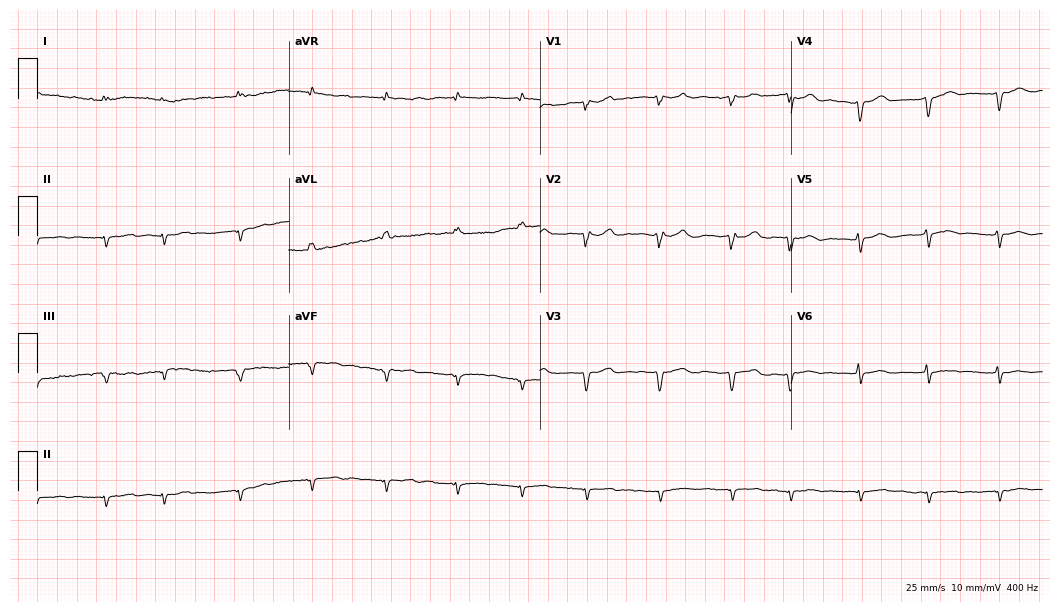
Electrocardiogram (10.2-second recording at 400 Hz), an 82-year-old female. Interpretation includes atrial fibrillation (AF).